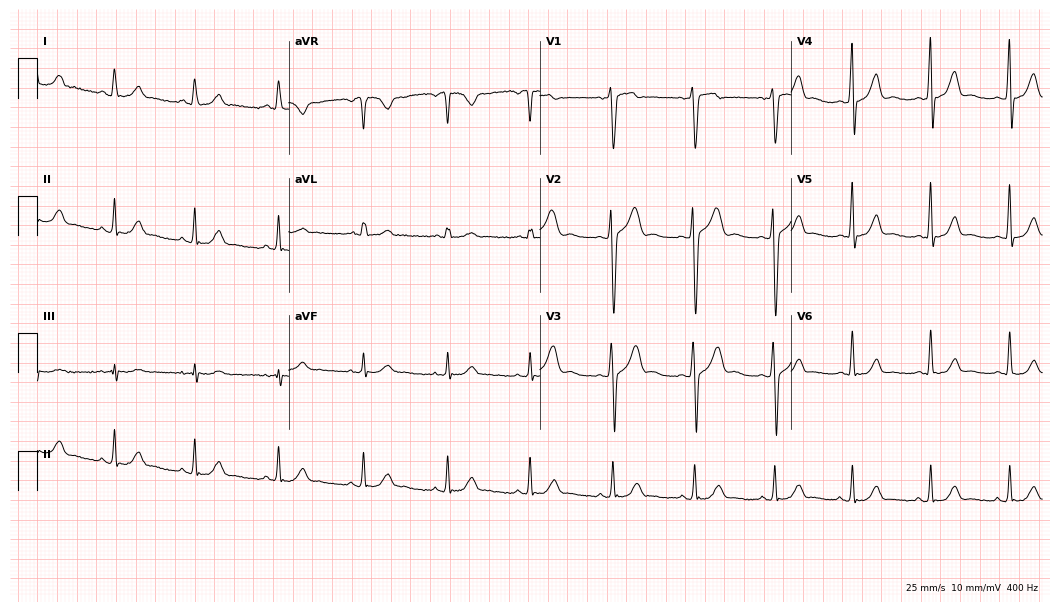
Resting 12-lead electrocardiogram (10.2-second recording at 400 Hz). Patient: a 42-year-old female. Read as a normal ECG.